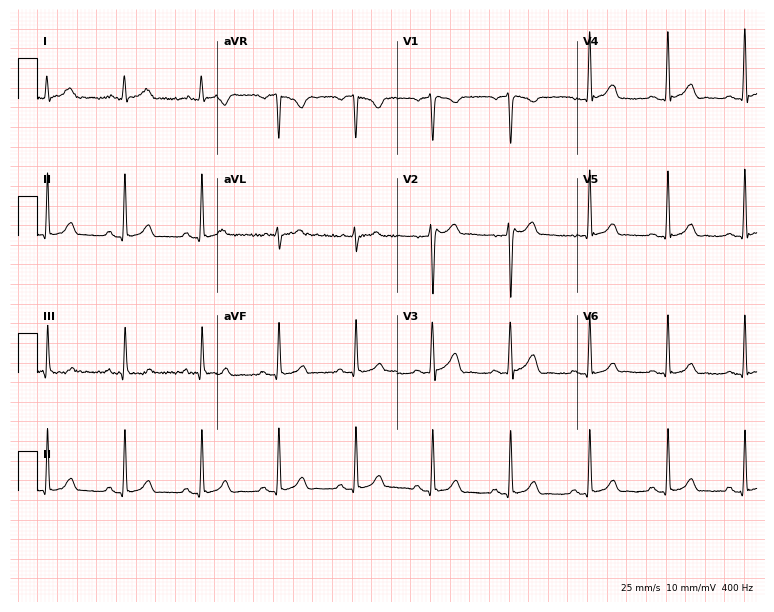
Electrocardiogram (7.3-second recording at 400 Hz), a 45-year-old male. Overall reading on record: normal ECG.